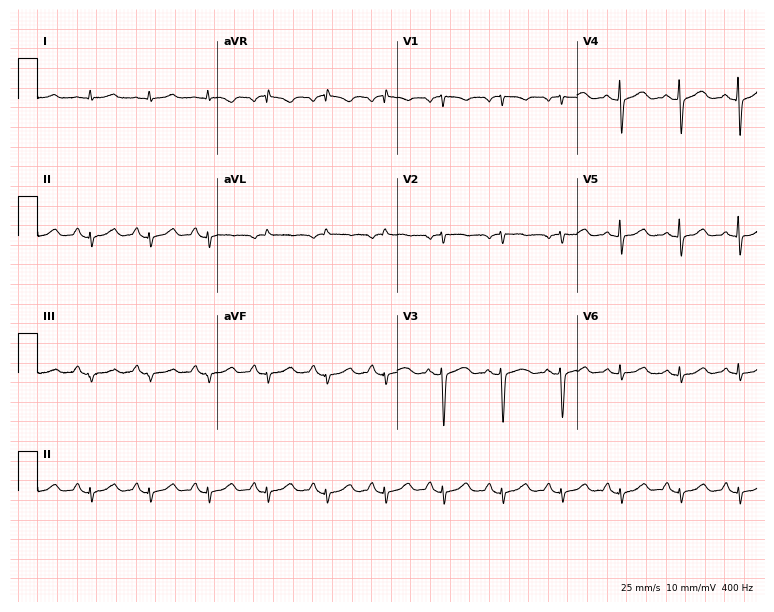
12-lead ECG from a female patient, 55 years old. Shows sinus tachycardia (a sinus rate of 100 beats per minute or more).